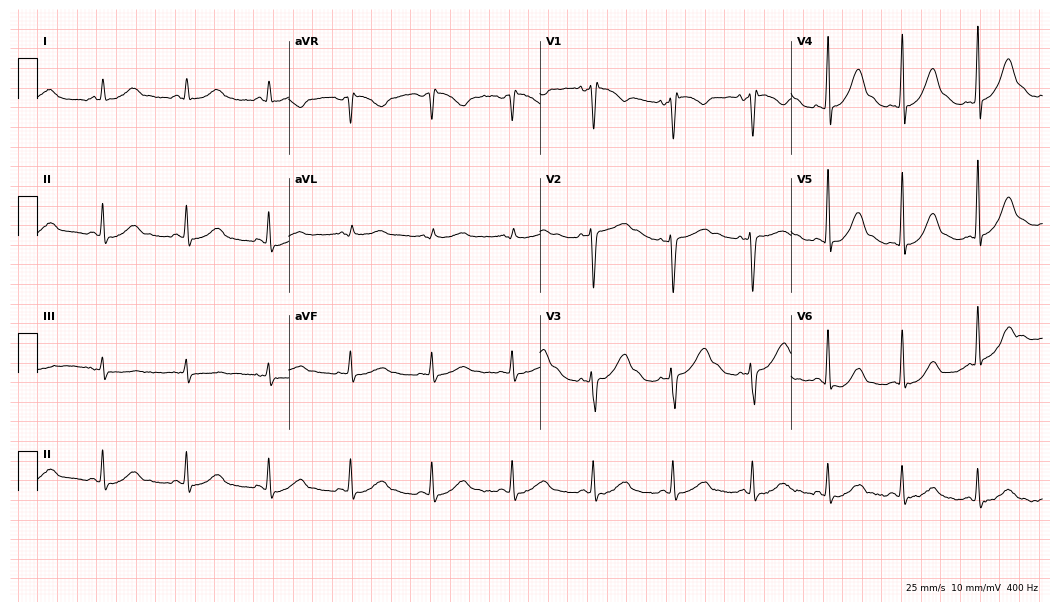
Electrocardiogram, a 47-year-old male. Overall reading on record: normal ECG.